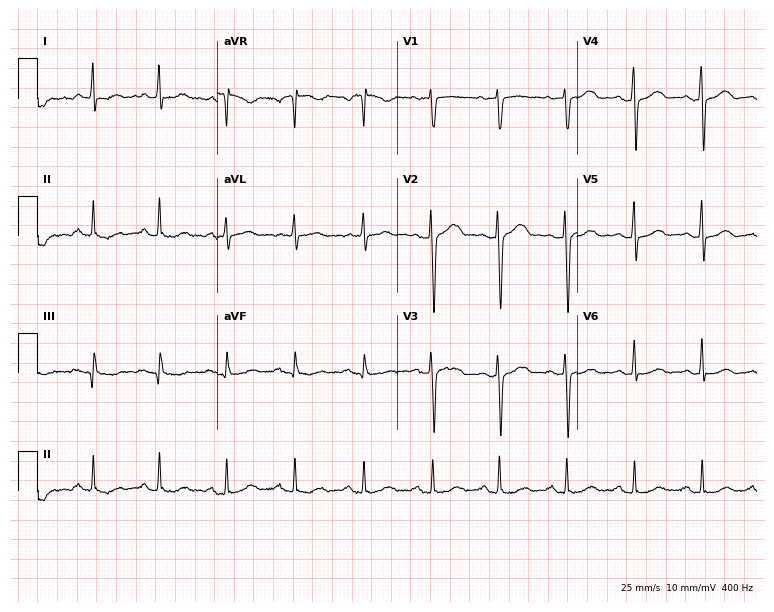
12-lead ECG (7.3-second recording at 400 Hz) from a female patient, 58 years old. Labelled as a normal ECG.